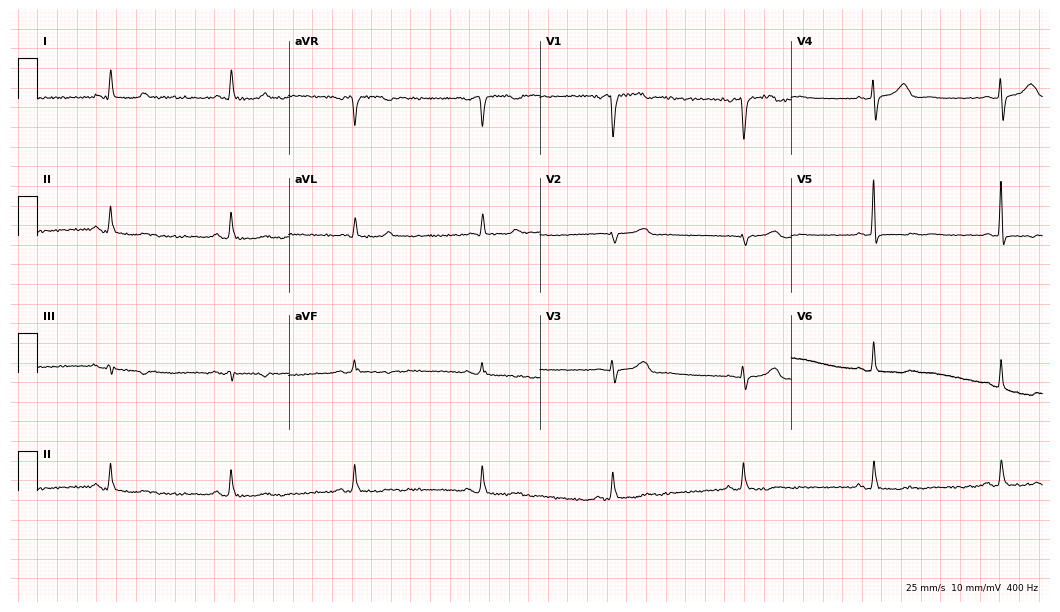
Electrocardiogram (10.2-second recording at 400 Hz), a woman, 51 years old. Interpretation includes sinus bradycardia (a sinus rate of 50 beats per minute or less).